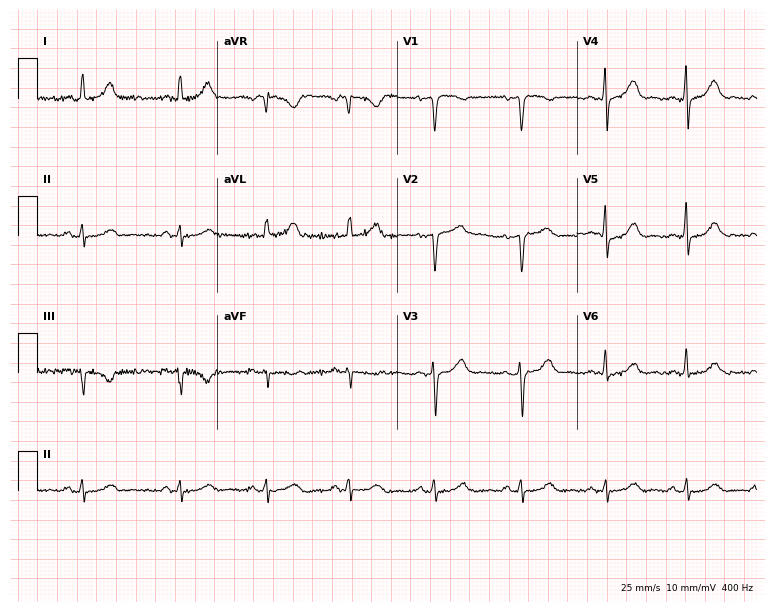
Resting 12-lead electrocardiogram. Patient: a female, 61 years old. Read as a normal ECG.